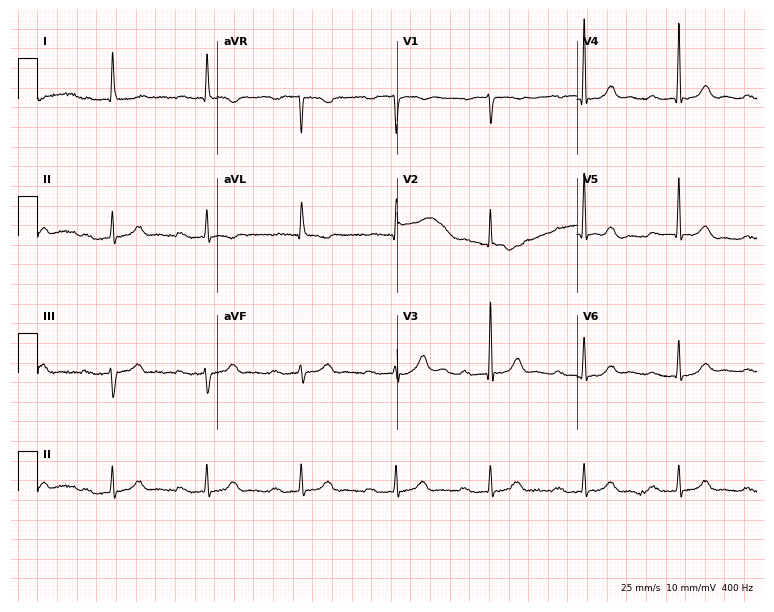
ECG — a male, 88 years old. Findings include first-degree AV block.